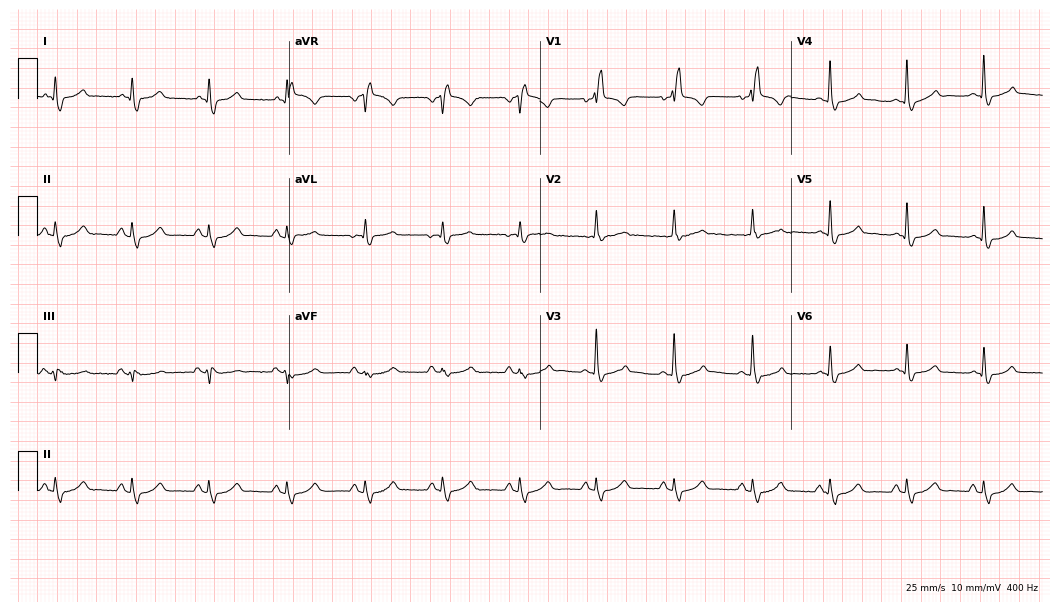
Standard 12-lead ECG recorded from a 73-year-old man. The tracing shows right bundle branch block (RBBB).